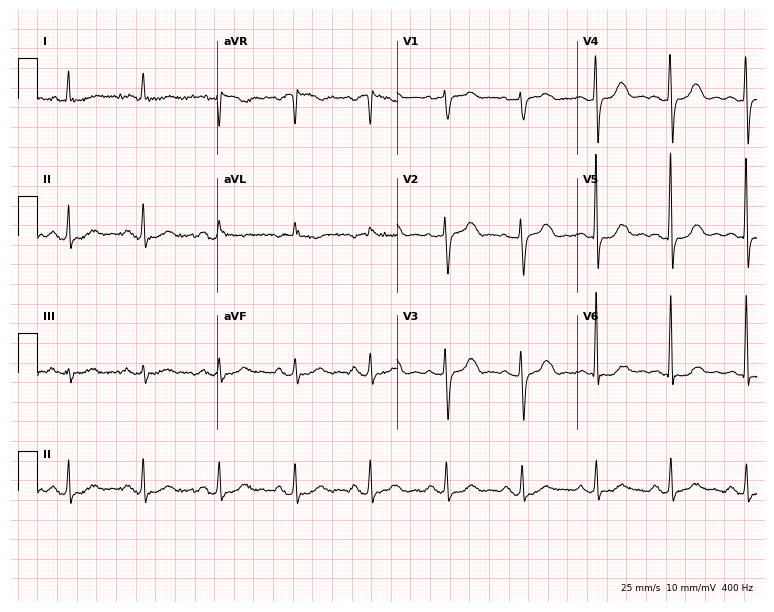
12-lead ECG from a female, 78 years old. Recorded interpretation: within normal limits.